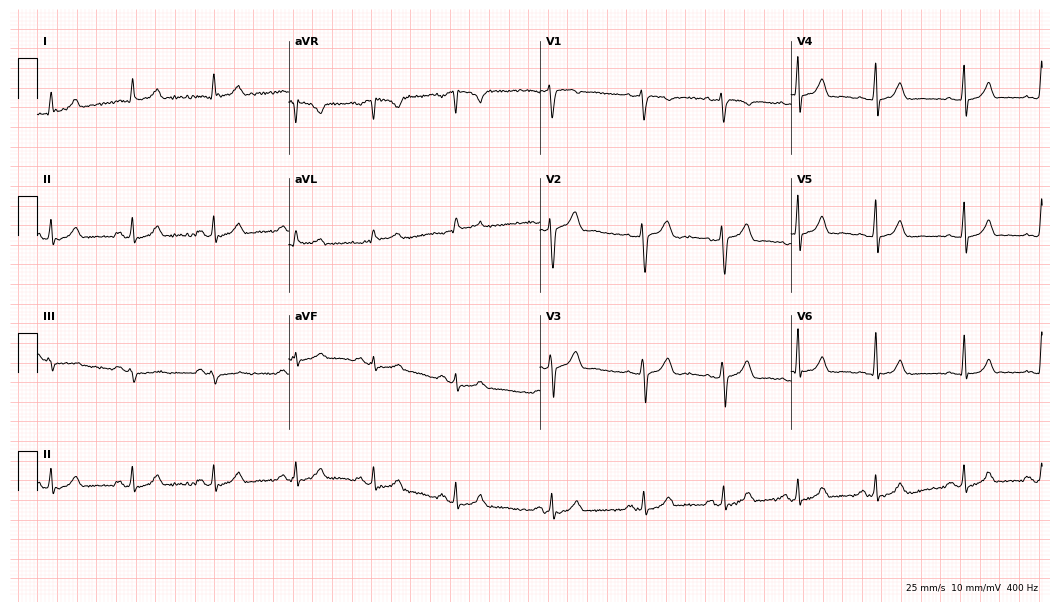
ECG — a male patient, 46 years old. Labelled as a normal ECG.